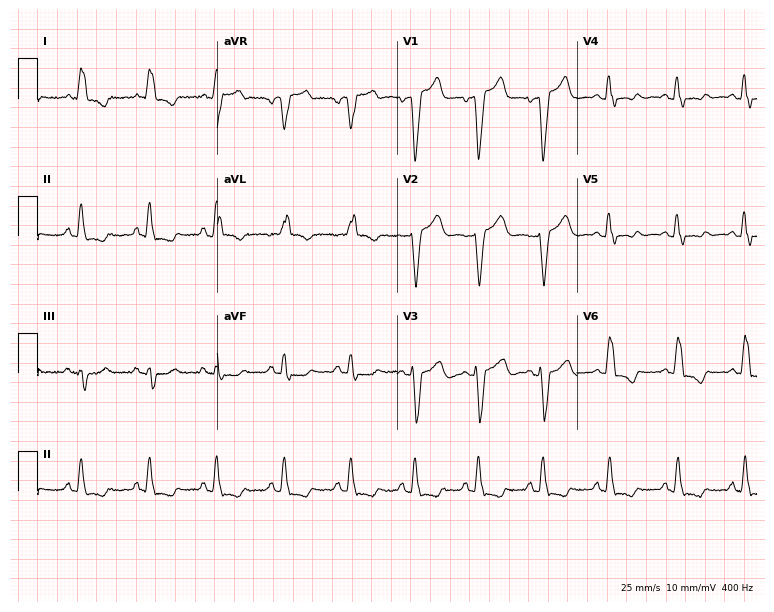
ECG (7.3-second recording at 400 Hz) — a female patient, 83 years old. Findings include left bundle branch block.